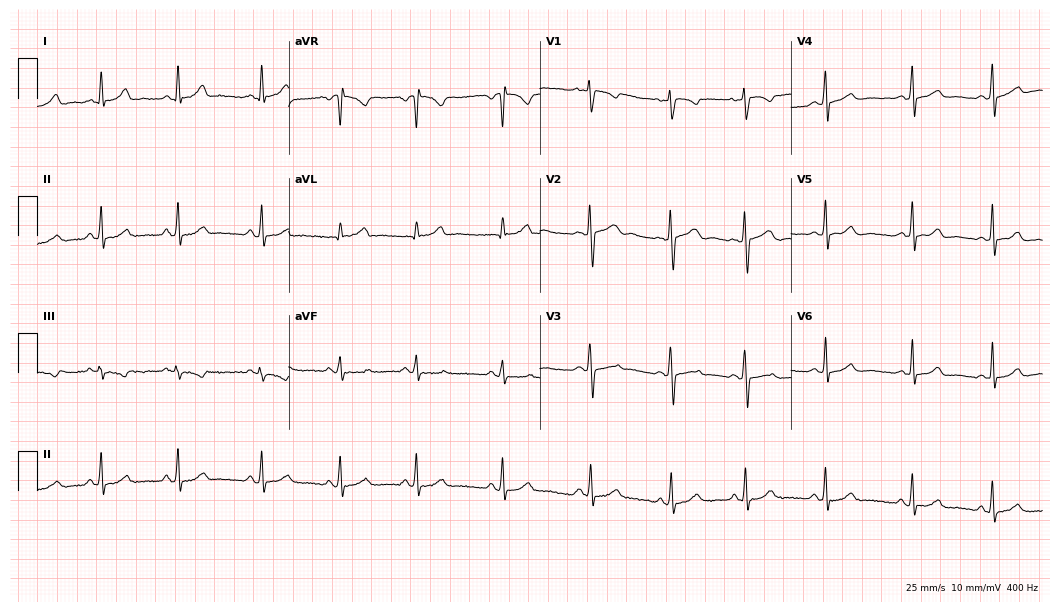
ECG (10.2-second recording at 400 Hz) — a female, 21 years old. Labelled as a normal ECG.